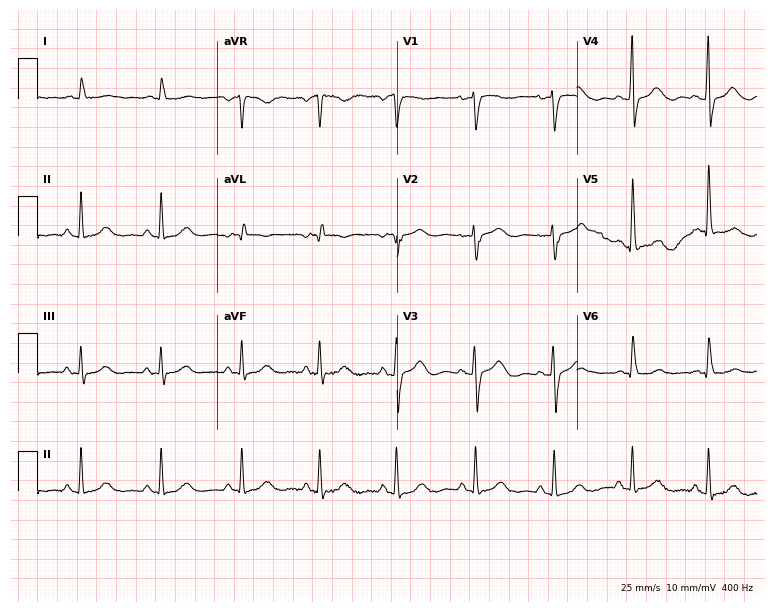
12-lead ECG (7.3-second recording at 400 Hz) from a 69-year-old female patient. Screened for six findings — first-degree AV block, right bundle branch block, left bundle branch block, sinus bradycardia, atrial fibrillation, sinus tachycardia — none is recorded. Findings outside these six are not listed.